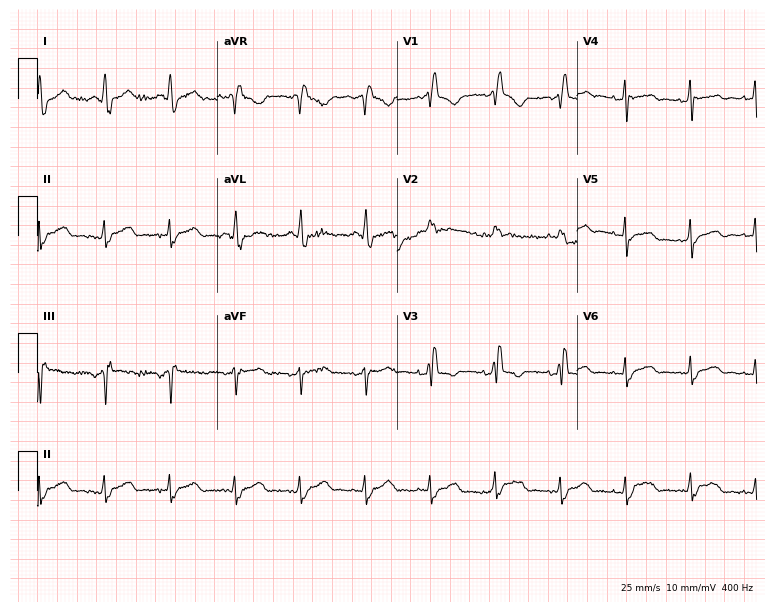
ECG (7.3-second recording at 400 Hz) — a woman, 76 years old. Findings include right bundle branch block (RBBB).